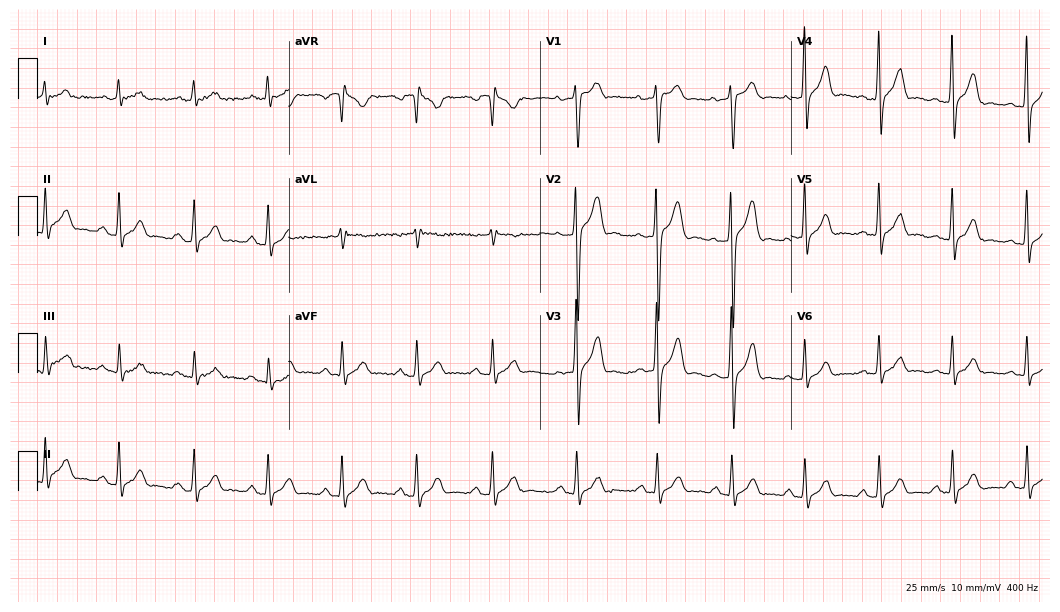
Electrocardiogram (10.2-second recording at 400 Hz), a male patient, 40 years old. Overall reading on record: normal ECG.